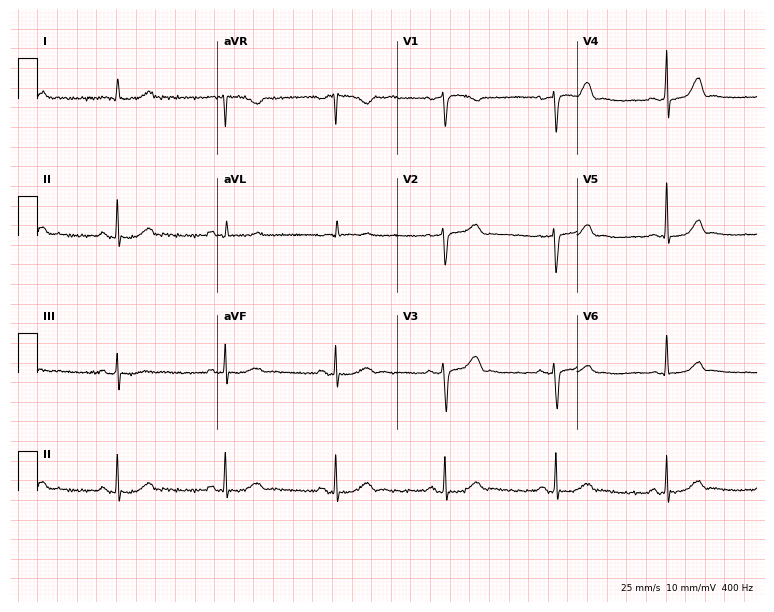
Electrocardiogram, a female patient, 78 years old. Overall reading on record: normal ECG.